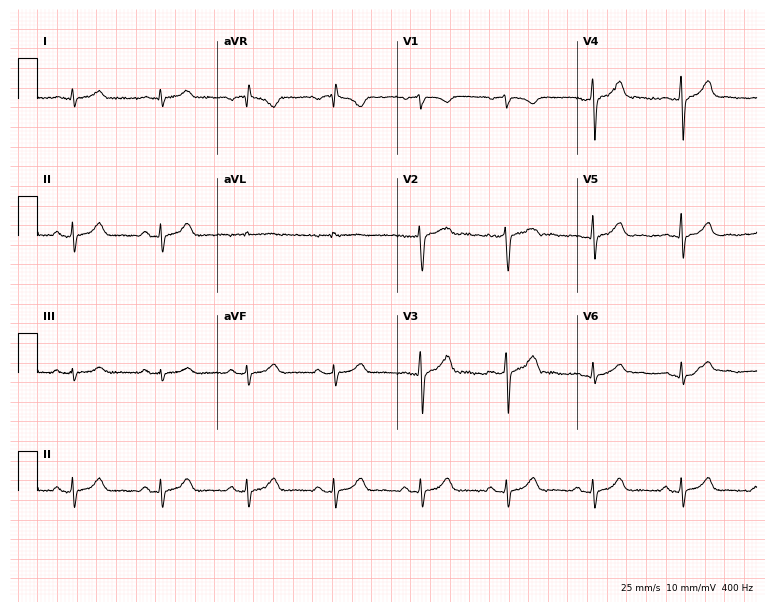
ECG (7.3-second recording at 400 Hz) — a male, 46 years old. Screened for six findings — first-degree AV block, right bundle branch block, left bundle branch block, sinus bradycardia, atrial fibrillation, sinus tachycardia — none is recorded. Other findings, if any, are not listed.